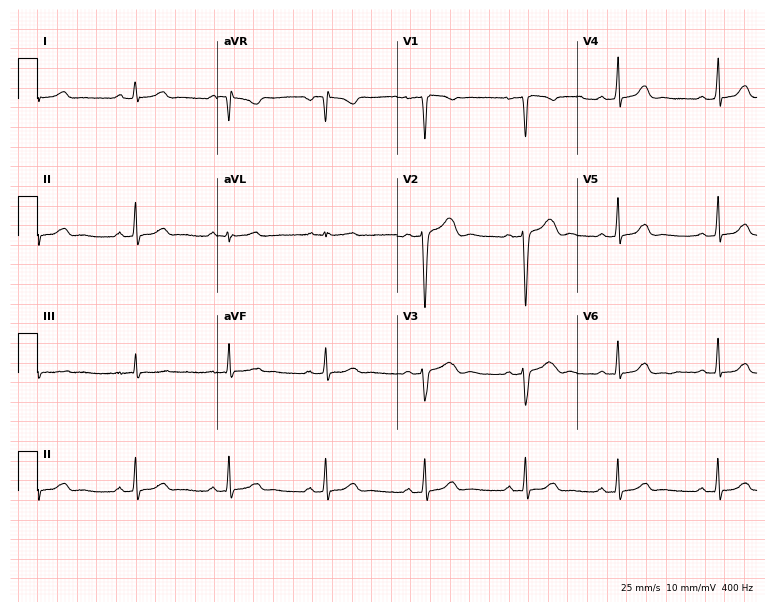
Resting 12-lead electrocardiogram. Patient: a 28-year-old female. None of these six findings is recorded: first-degree AV block, right bundle branch block, left bundle branch block, sinus bradycardia, atrial fibrillation, sinus tachycardia.